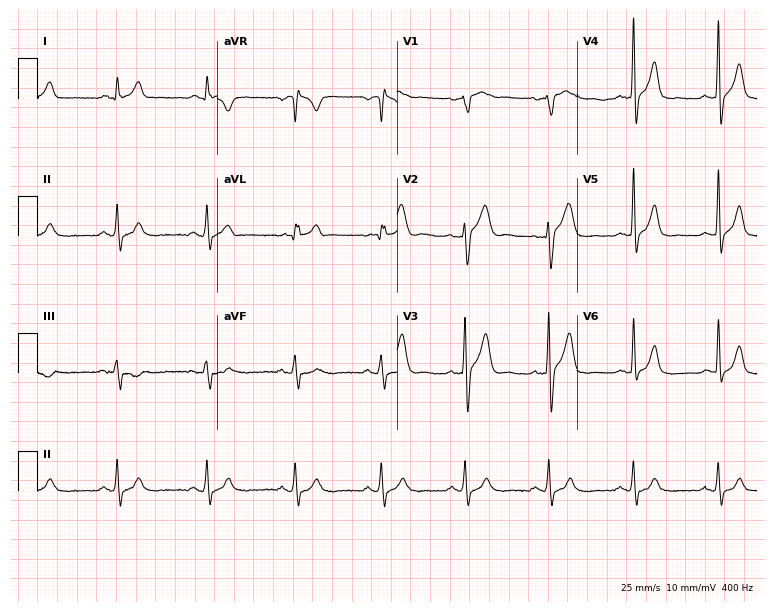
12-lead ECG from a male patient, 50 years old (7.3-second recording at 400 Hz). Recorded interpretation: within normal limits.